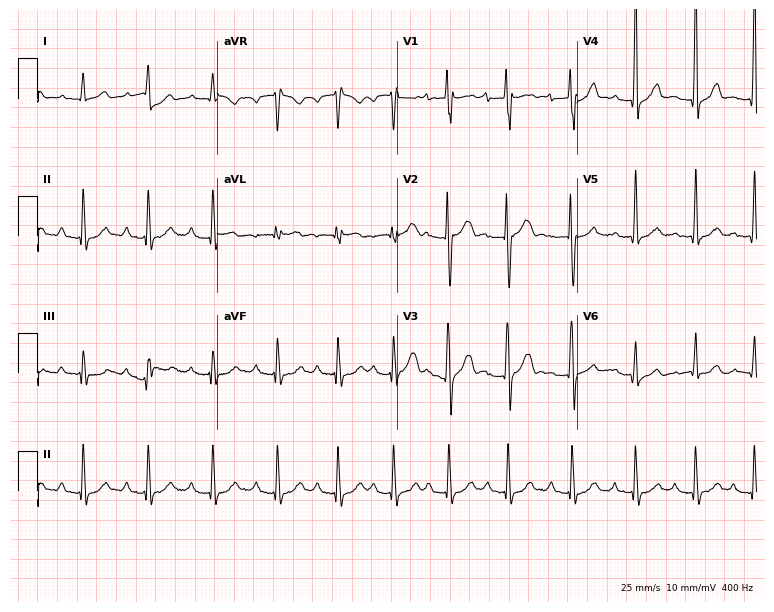
ECG (7.3-second recording at 400 Hz) — a 19-year-old man. Findings include first-degree AV block.